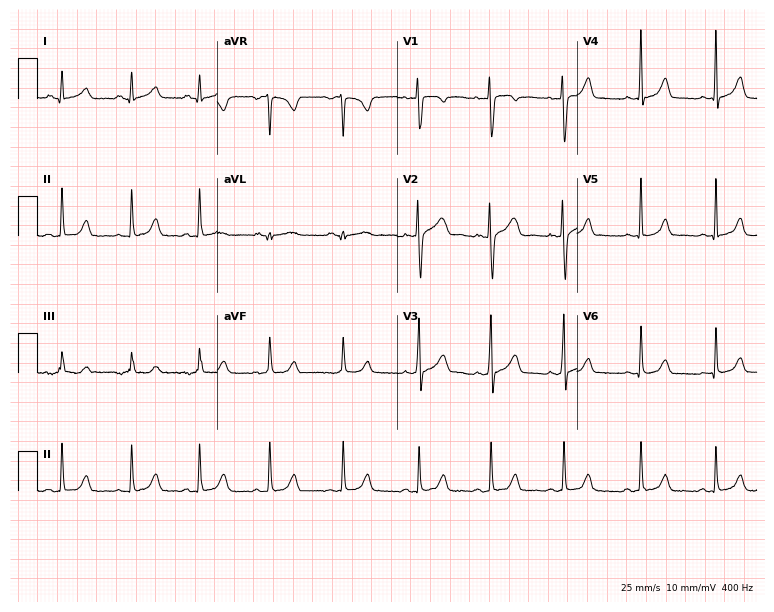
ECG (7.3-second recording at 400 Hz) — a 29-year-old woman. Labelled as a normal ECG.